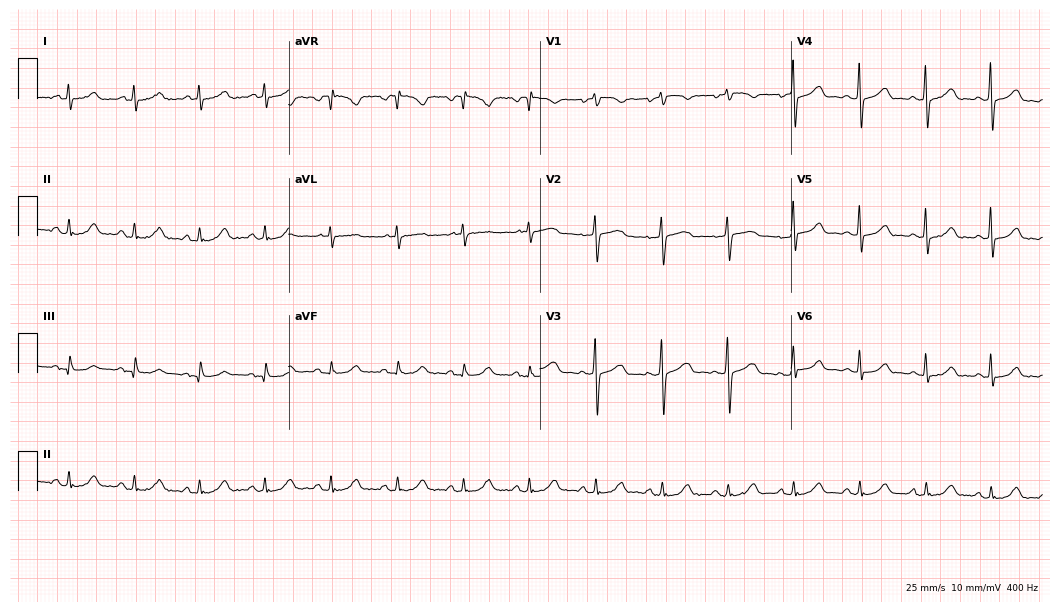
ECG (10.2-second recording at 400 Hz) — a female patient, 54 years old. Labelled as a normal ECG.